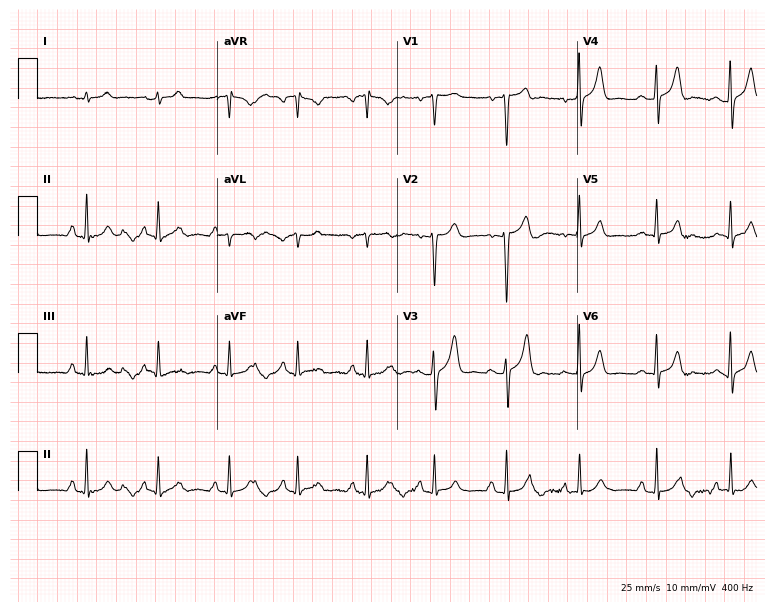
12-lead ECG from a 21-year-old man (7.3-second recording at 400 Hz). No first-degree AV block, right bundle branch block (RBBB), left bundle branch block (LBBB), sinus bradycardia, atrial fibrillation (AF) or sinus tachycardia recorded for this tracing. Only these six findings were labelled.